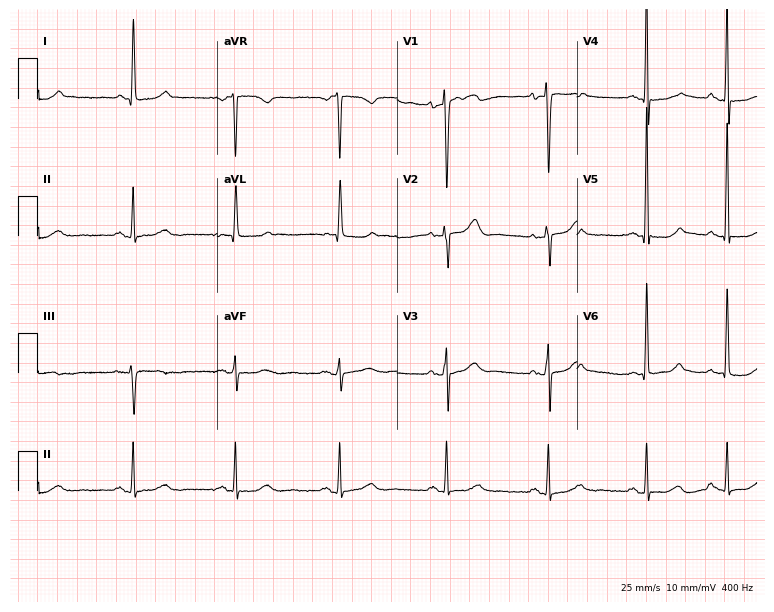
12-lead ECG from a 67-year-old female. No first-degree AV block, right bundle branch block (RBBB), left bundle branch block (LBBB), sinus bradycardia, atrial fibrillation (AF) or sinus tachycardia recorded for this tracing.